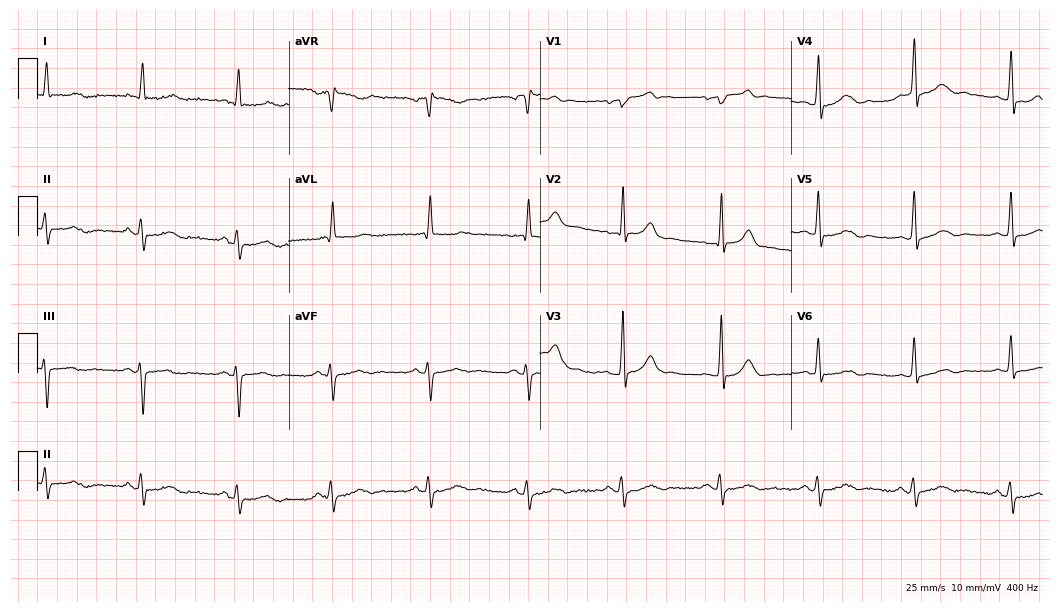
Resting 12-lead electrocardiogram (10.2-second recording at 400 Hz). Patient: a 59-year-old male. None of these six findings is recorded: first-degree AV block, right bundle branch block (RBBB), left bundle branch block (LBBB), sinus bradycardia, atrial fibrillation (AF), sinus tachycardia. Only these six findings were labelled.